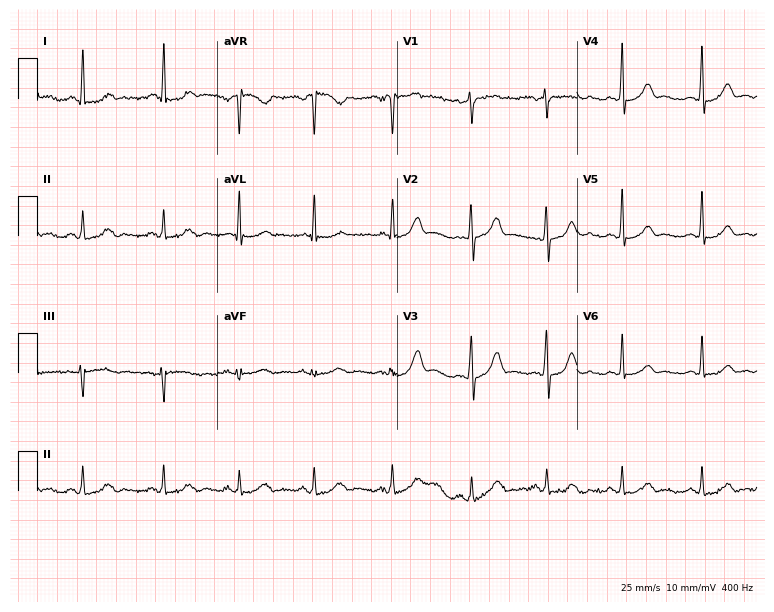
12-lead ECG from a female patient, 45 years old (7.3-second recording at 400 Hz). Recorded interpretation: within normal limits.